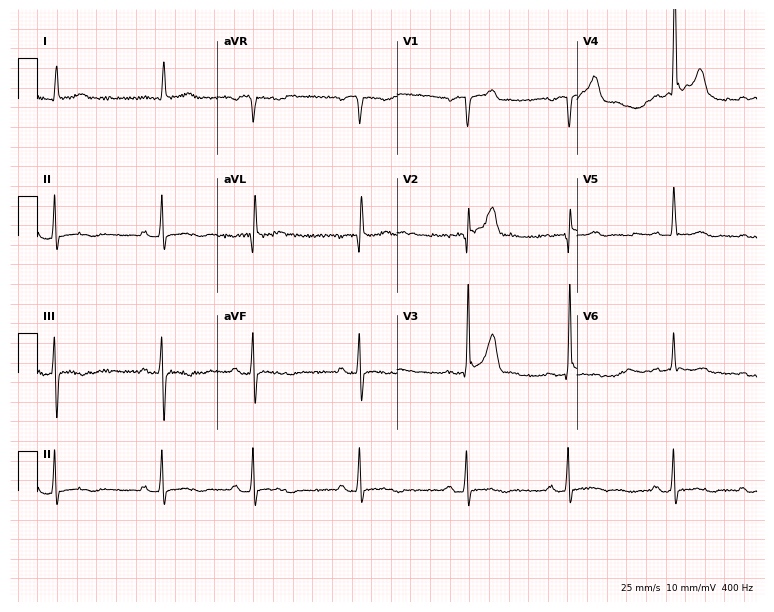
12-lead ECG from a male, 83 years old. Screened for six findings — first-degree AV block, right bundle branch block (RBBB), left bundle branch block (LBBB), sinus bradycardia, atrial fibrillation (AF), sinus tachycardia — none is recorded.